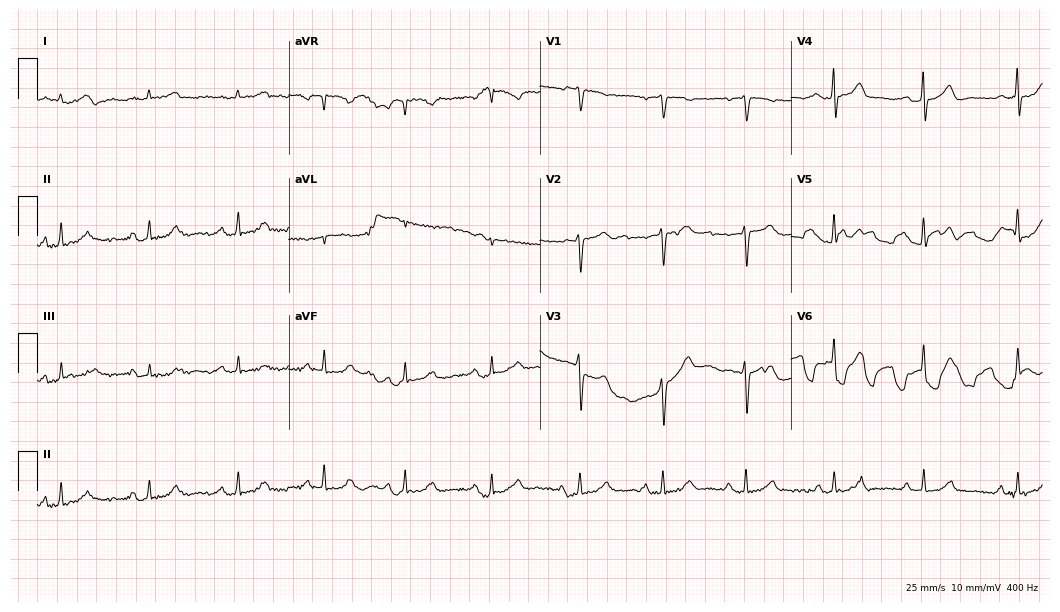
ECG — a 44-year-old female. Labelled as a normal ECG.